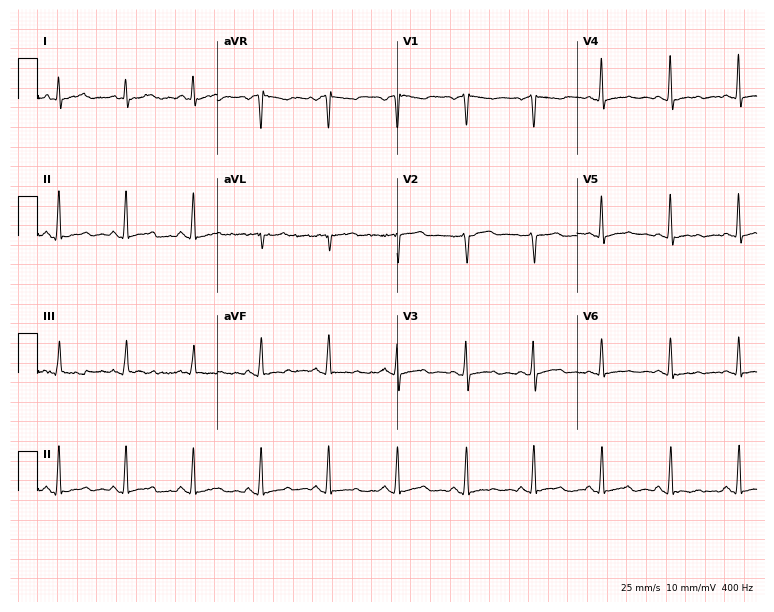
ECG — a female patient, 50 years old. Screened for six findings — first-degree AV block, right bundle branch block (RBBB), left bundle branch block (LBBB), sinus bradycardia, atrial fibrillation (AF), sinus tachycardia — none is recorded. Findings outside these six are not listed.